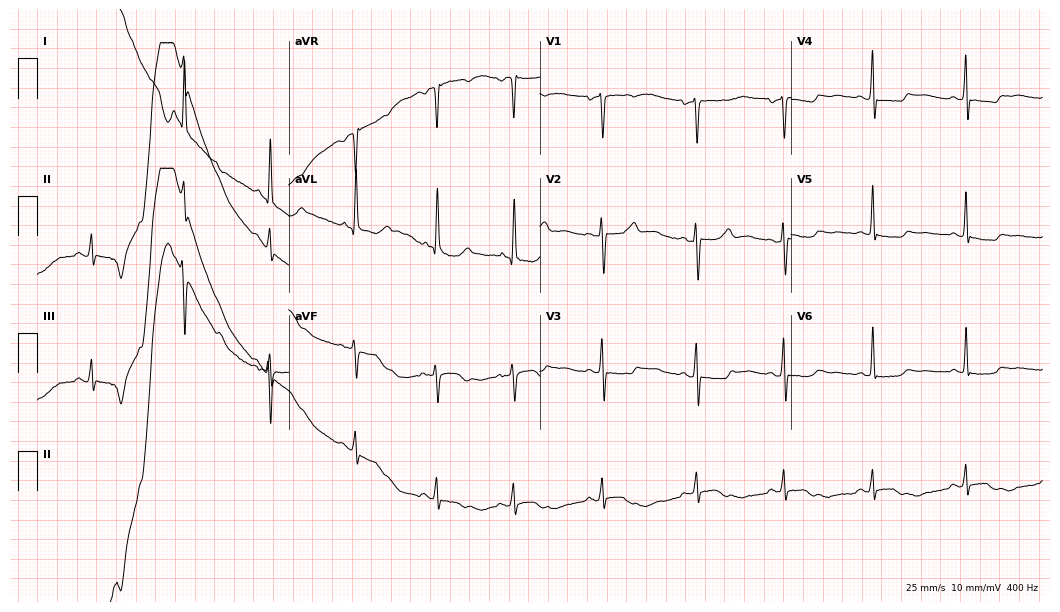
12-lead ECG (10.2-second recording at 400 Hz) from a 67-year-old woman. Screened for six findings — first-degree AV block, right bundle branch block (RBBB), left bundle branch block (LBBB), sinus bradycardia, atrial fibrillation (AF), sinus tachycardia — none is recorded. Other findings, if any, are not listed.